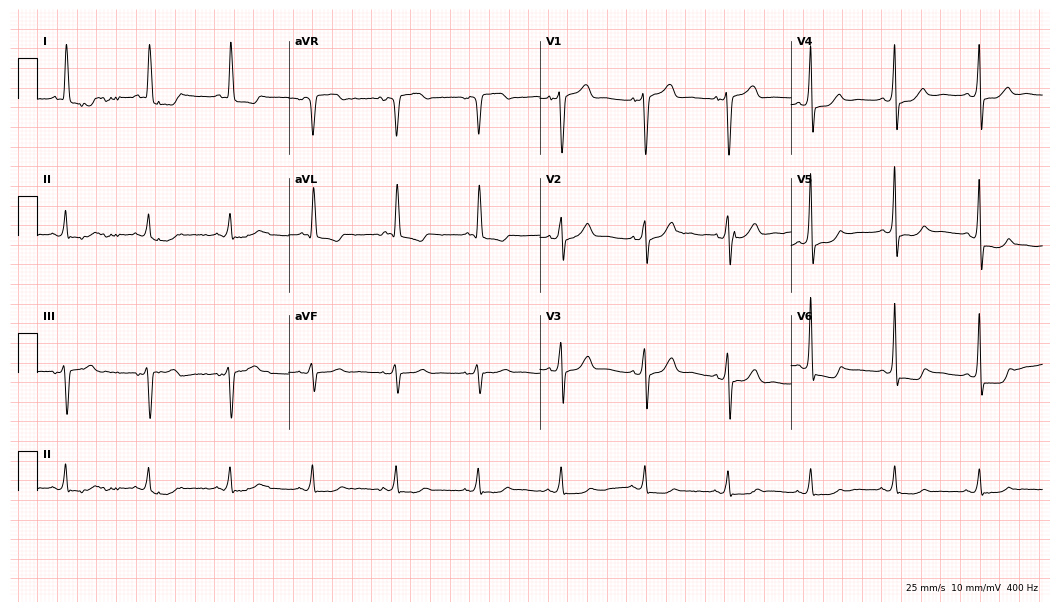
Electrocardiogram (10.2-second recording at 400 Hz), a male, 82 years old. Of the six screened findings (first-degree AV block, right bundle branch block, left bundle branch block, sinus bradycardia, atrial fibrillation, sinus tachycardia), none is recorded. Findings outside these six are not listed.